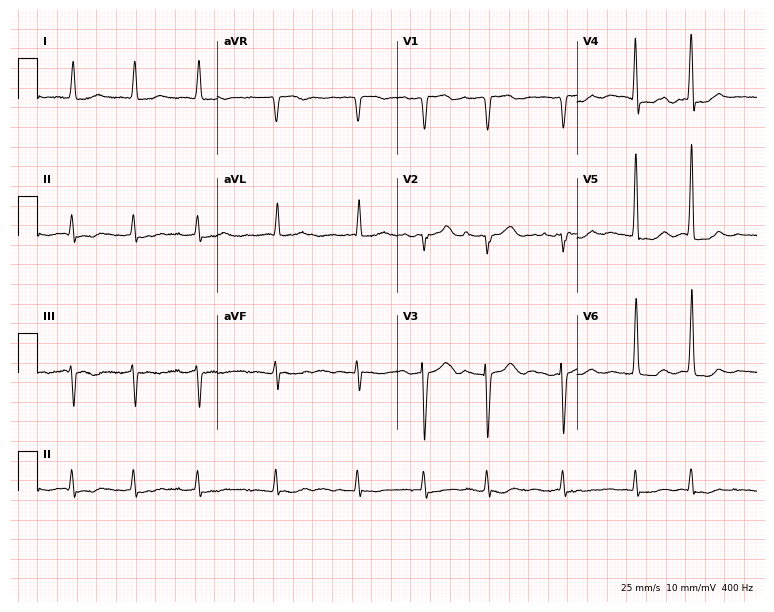
Resting 12-lead electrocardiogram. Patient: a female, 90 years old or older. None of these six findings is recorded: first-degree AV block, right bundle branch block (RBBB), left bundle branch block (LBBB), sinus bradycardia, atrial fibrillation (AF), sinus tachycardia. Only these six findings were labelled.